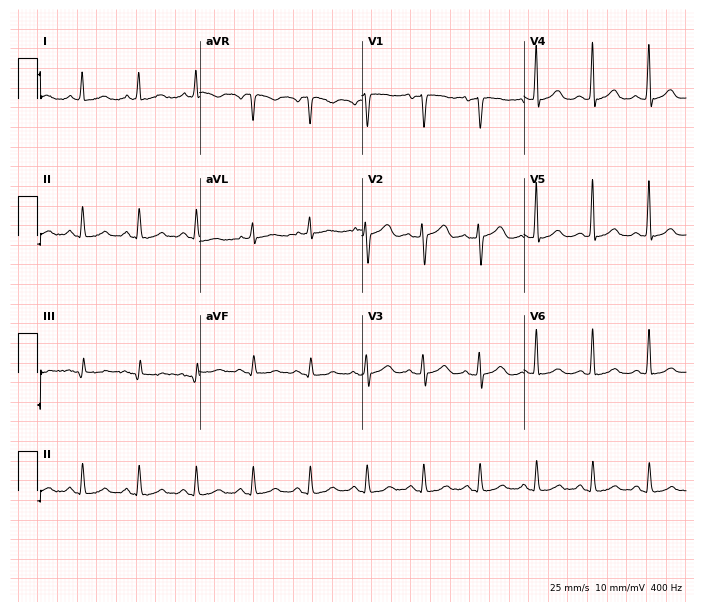
12-lead ECG from a female patient, 63 years old. Screened for six findings — first-degree AV block, right bundle branch block (RBBB), left bundle branch block (LBBB), sinus bradycardia, atrial fibrillation (AF), sinus tachycardia — none is recorded. Findings outside these six are not listed.